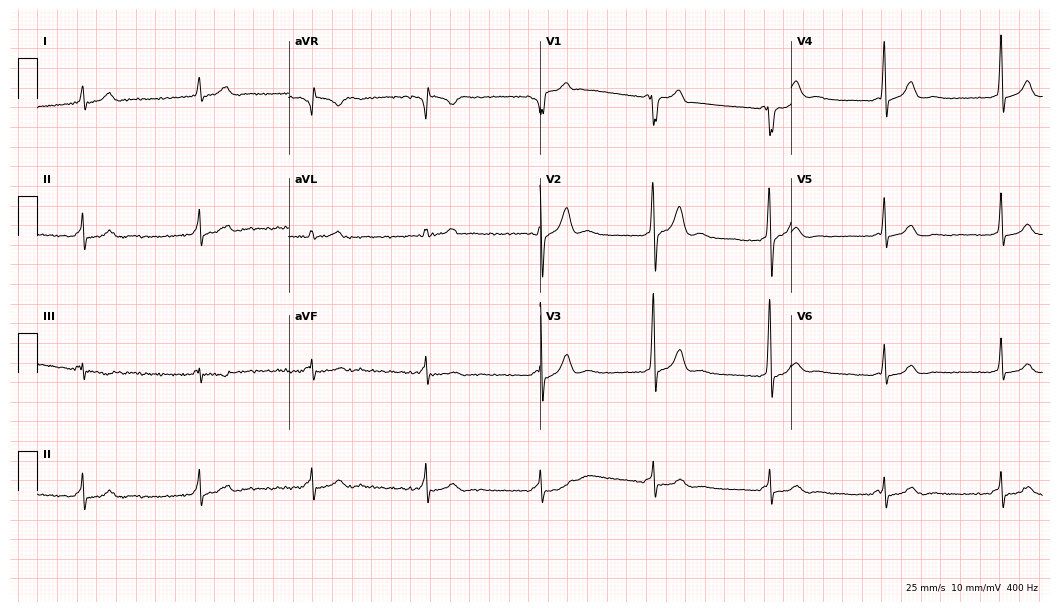
Resting 12-lead electrocardiogram. Patient: a male, 25 years old. None of these six findings is recorded: first-degree AV block, right bundle branch block, left bundle branch block, sinus bradycardia, atrial fibrillation, sinus tachycardia.